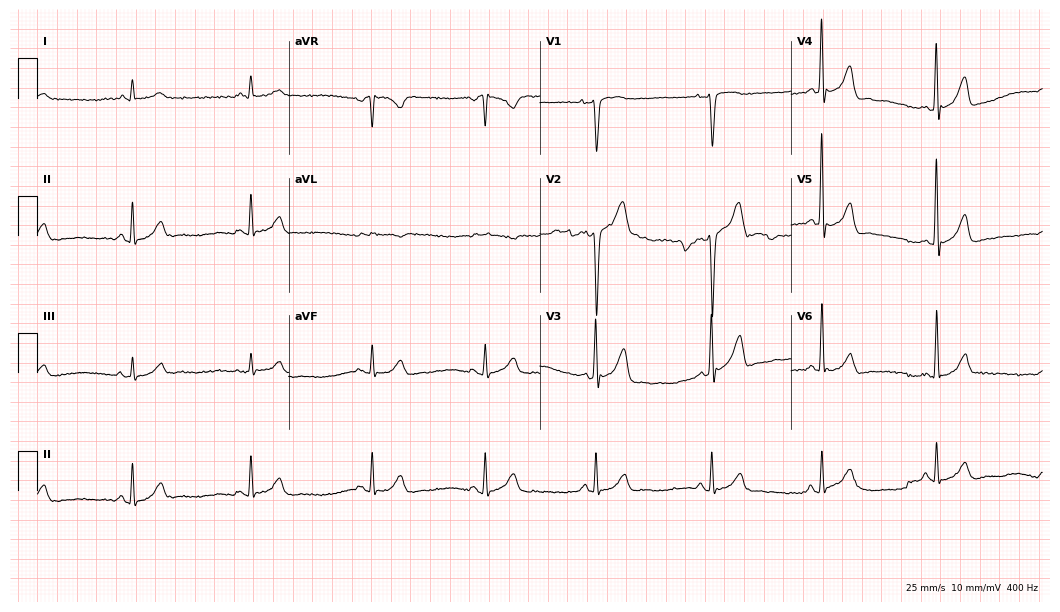
Resting 12-lead electrocardiogram. Patient: a male, 50 years old. None of these six findings is recorded: first-degree AV block, right bundle branch block, left bundle branch block, sinus bradycardia, atrial fibrillation, sinus tachycardia. Other findings, if any, are not listed.